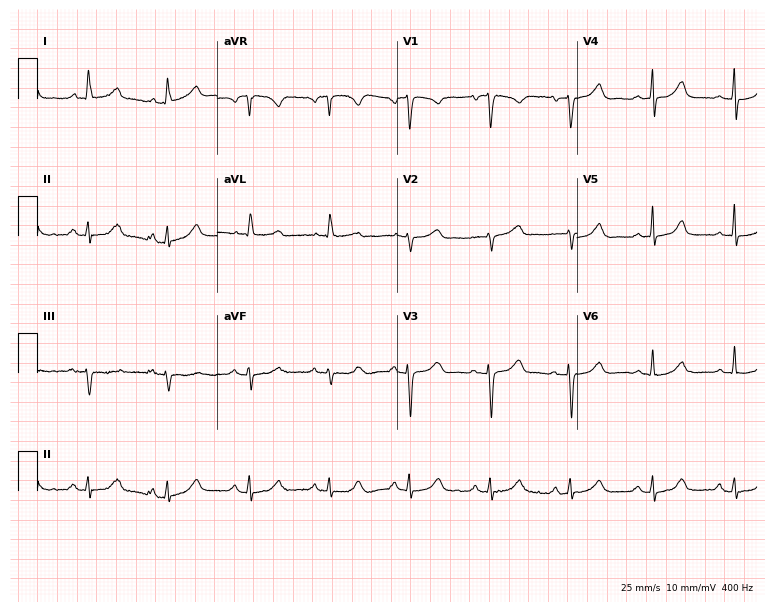
ECG (7.3-second recording at 400 Hz) — an 85-year-old woman. Labelled as a normal ECG.